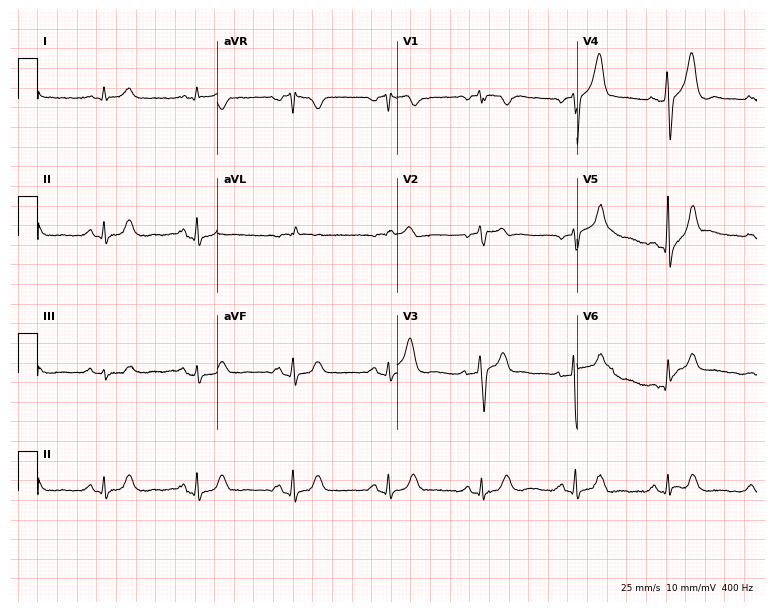
12-lead ECG (7.3-second recording at 400 Hz) from a female, 56 years old. Labelled as a normal ECG.